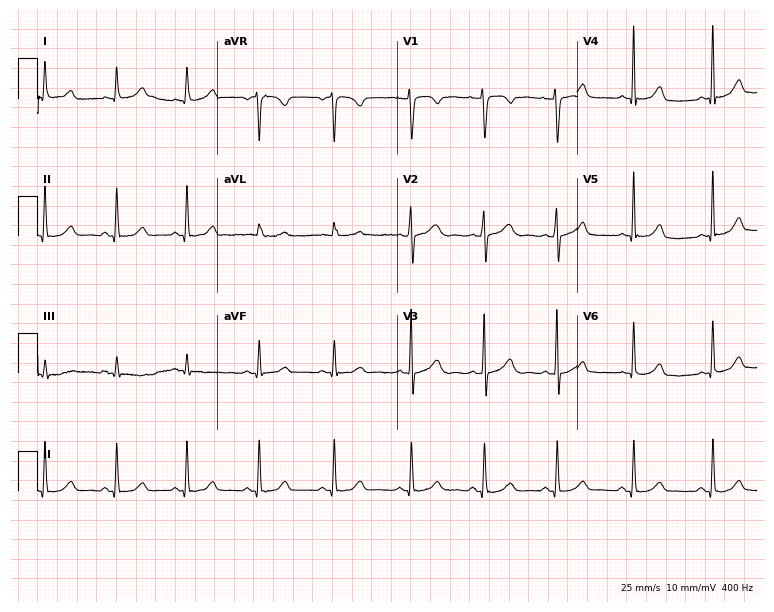
Standard 12-lead ECG recorded from a 36-year-old woman (7.3-second recording at 400 Hz). Read as a normal ECG.